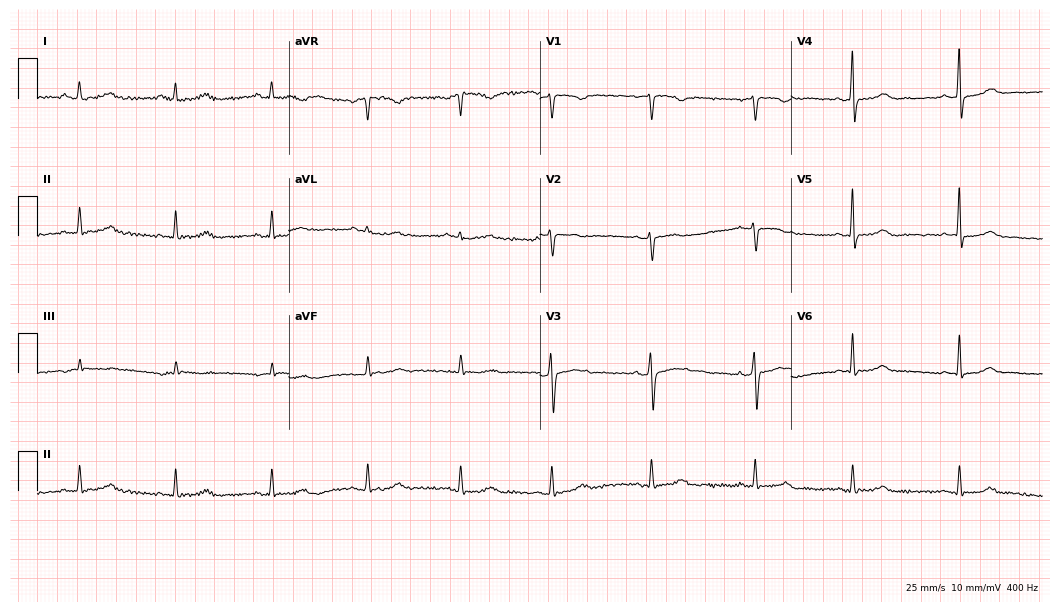
12-lead ECG from a 43-year-old female (10.2-second recording at 400 Hz). Recorded interpretation: within normal limits.